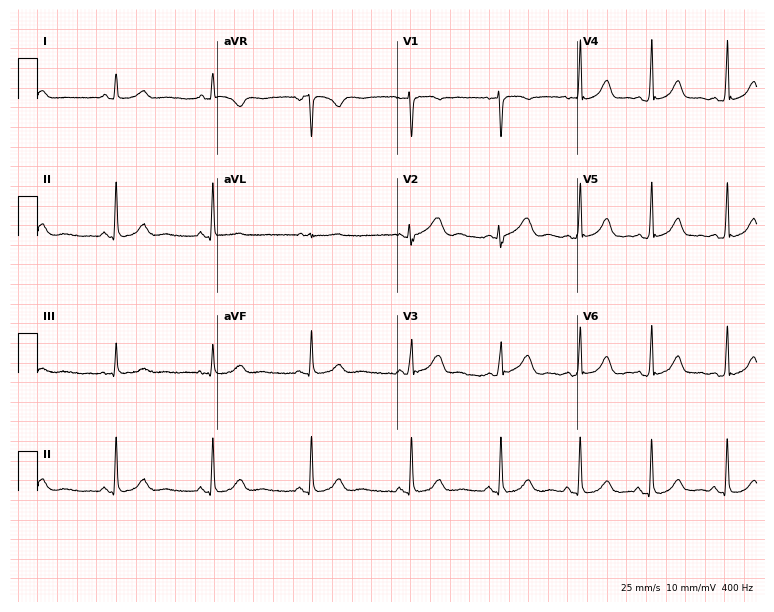
12-lead ECG (7.3-second recording at 400 Hz) from a woman, 20 years old. Labelled as a normal ECG.